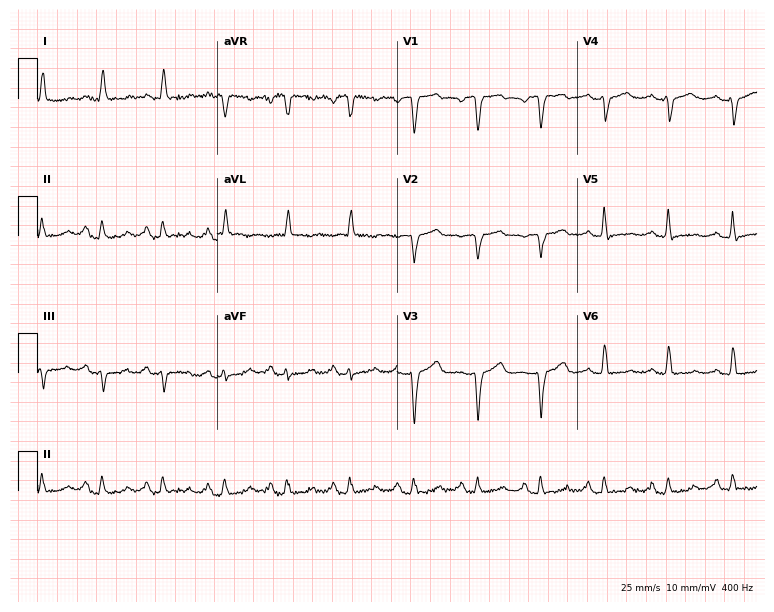
Electrocardiogram, a woman, 64 years old. Of the six screened findings (first-degree AV block, right bundle branch block, left bundle branch block, sinus bradycardia, atrial fibrillation, sinus tachycardia), none is recorded. Findings outside these six are not listed.